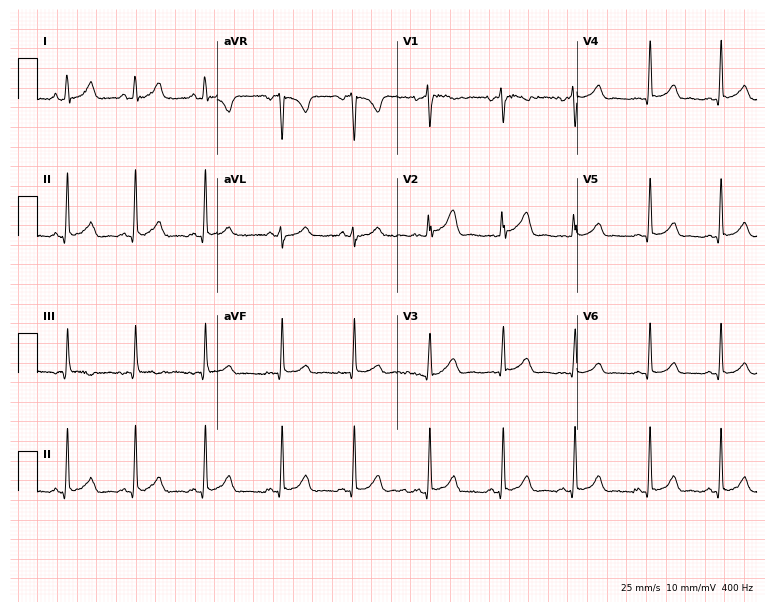
12-lead ECG from a female, 23 years old (7.3-second recording at 400 Hz). Recorded interpretation: within normal limits.